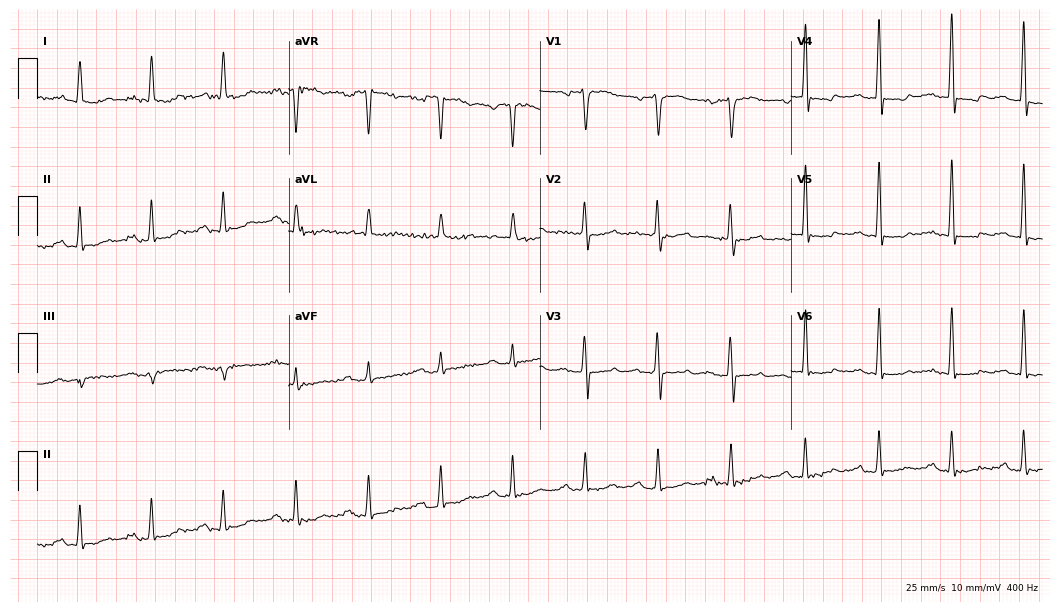
12-lead ECG (10.2-second recording at 400 Hz) from a female, 60 years old. Screened for six findings — first-degree AV block, right bundle branch block, left bundle branch block, sinus bradycardia, atrial fibrillation, sinus tachycardia — none is recorded.